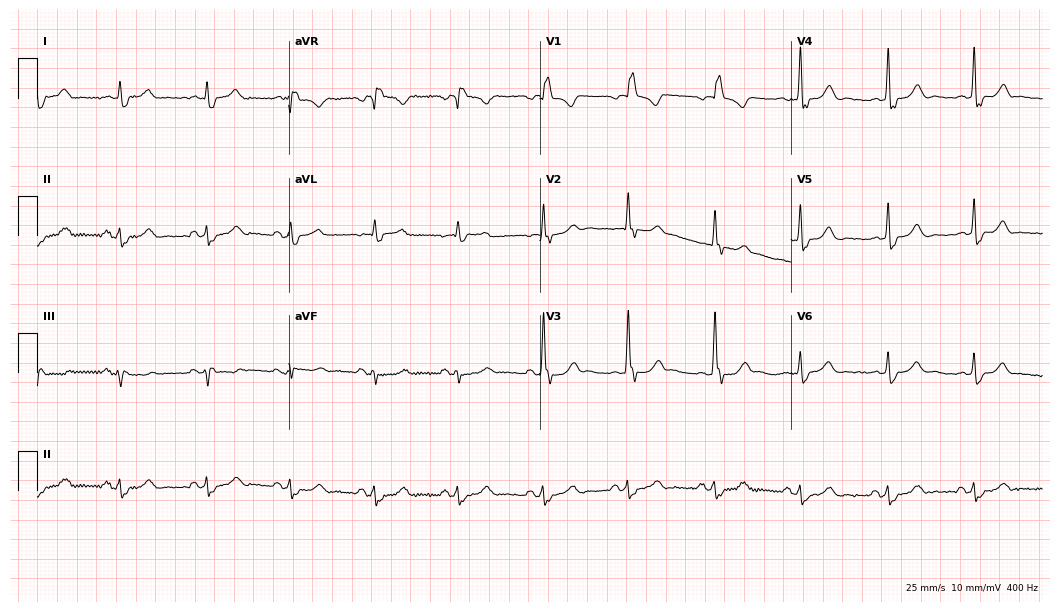
12-lead ECG from a male patient, 67 years old. Shows right bundle branch block.